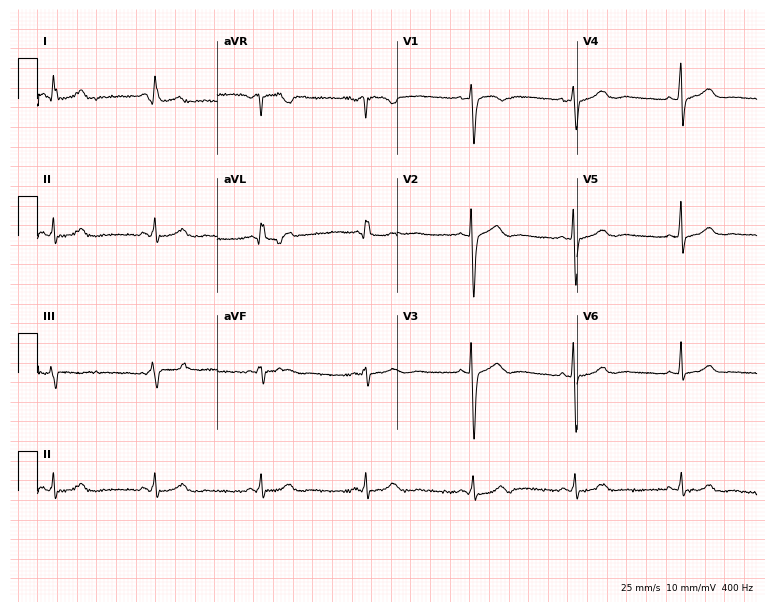
Electrocardiogram (7.3-second recording at 400 Hz), a female, 56 years old. Of the six screened findings (first-degree AV block, right bundle branch block (RBBB), left bundle branch block (LBBB), sinus bradycardia, atrial fibrillation (AF), sinus tachycardia), none is recorded.